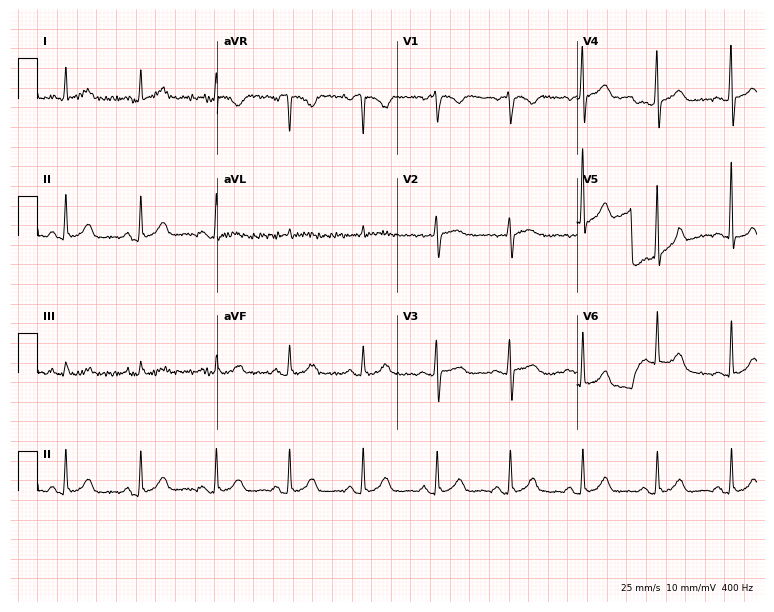
ECG — a female, 52 years old. Screened for six findings — first-degree AV block, right bundle branch block (RBBB), left bundle branch block (LBBB), sinus bradycardia, atrial fibrillation (AF), sinus tachycardia — none is recorded. Only these six findings were labelled.